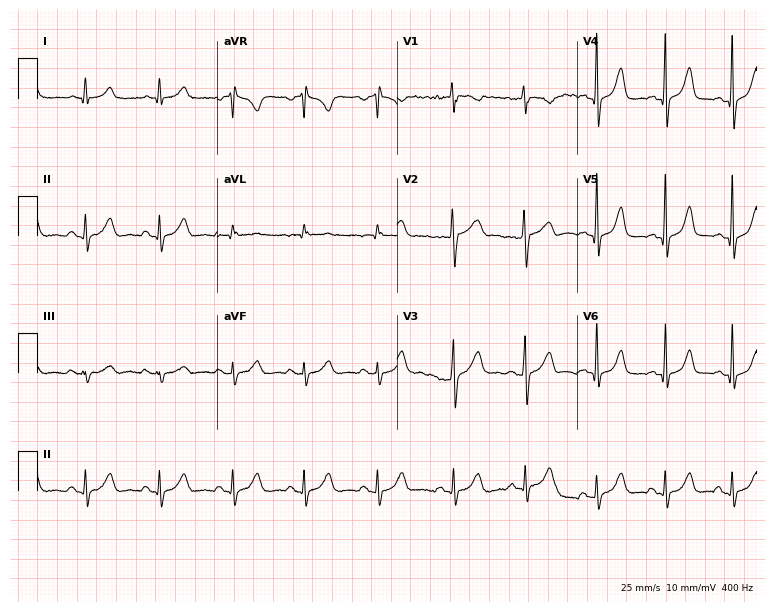
ECG (7.3-second recording at 400 Hz) — a 29-year-old female. Labelled as a normal ECG.